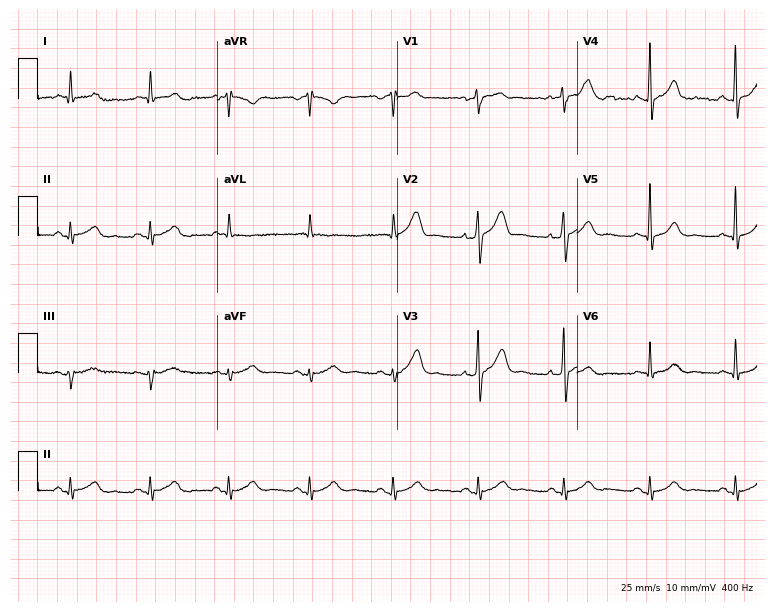
12-lead ECG from a 78-year-old male. No first-degree AV block, right bundle branch block, left bundle branch block, sinus bradycardia, atrial fibrillation or sinus tachycardia recorded for this tracing.